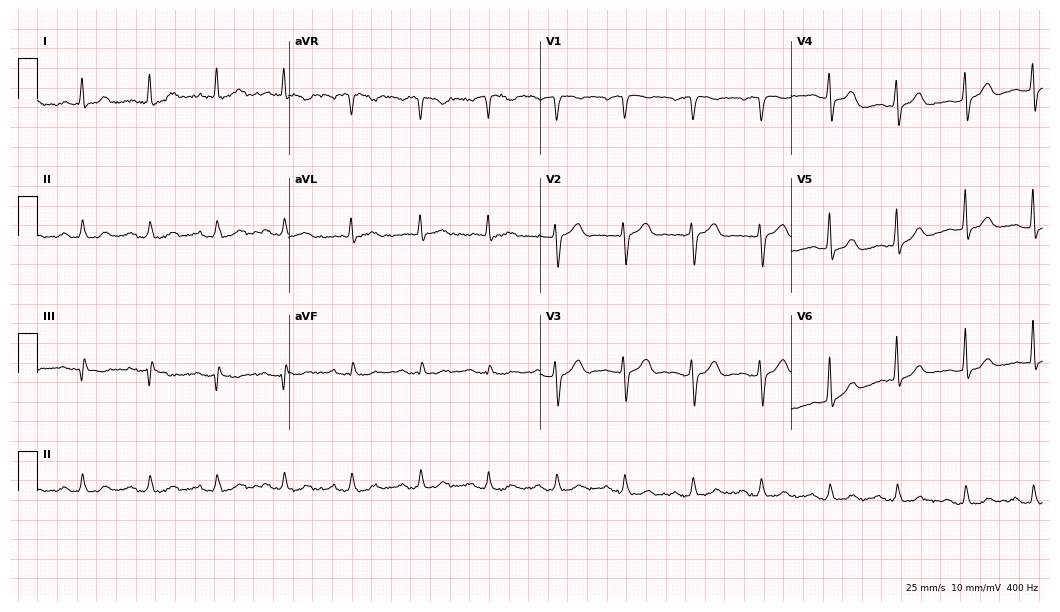
Standard 12-lead ECG recorded from a man, 81 years old (10.2-second recording at 400 Hz). The tracing shows first-degree AV block.